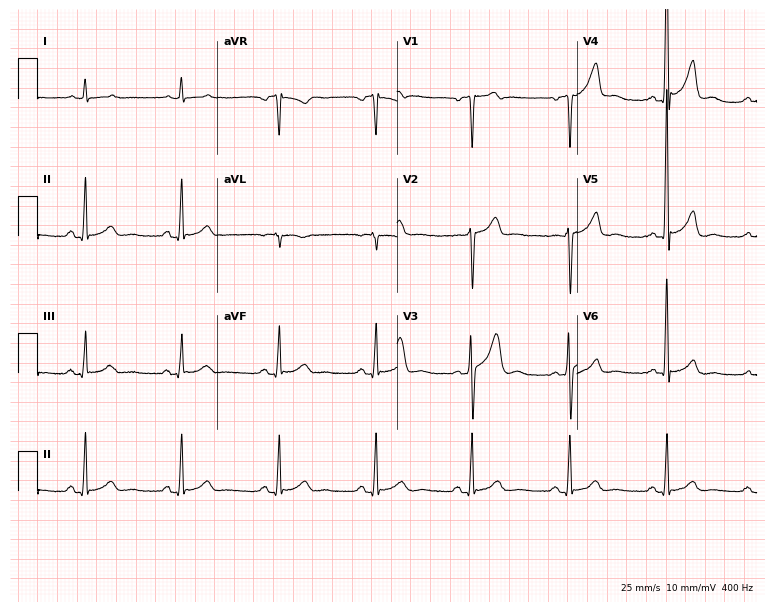
ECG (7.3-second recording at 400 Hz) — a male patient, 43 years old. Screened for six findings — first-degree AV block, right bundle branch block, left bundle branch block, sinus bradycardia, atrial fibrillation, sinus tachycardia — none is recorded.